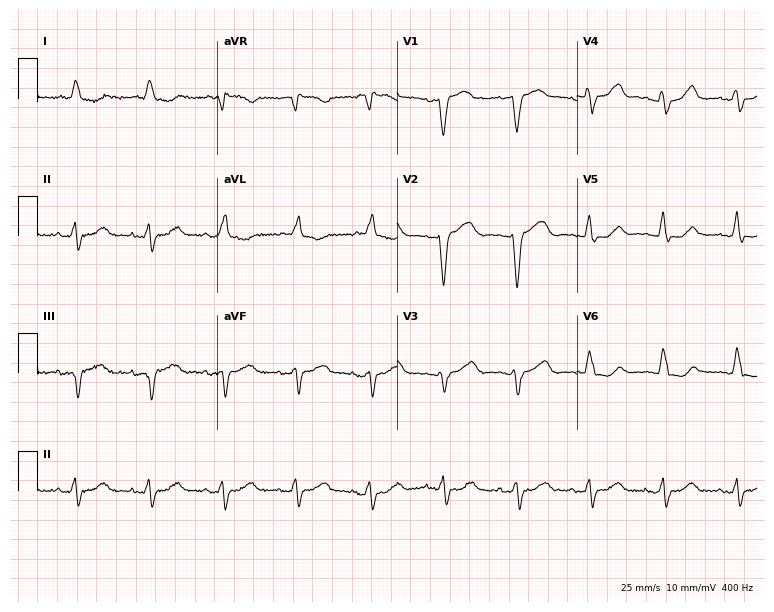
Resting 12-lead electrocardiogram. Patient: an 83-year-old female. None of these six findings is recorded: first-degree AV block, right bundle branch block, left bundle branch block, sinus bradycardia, atrial fibrillation, sinus tachycardia.